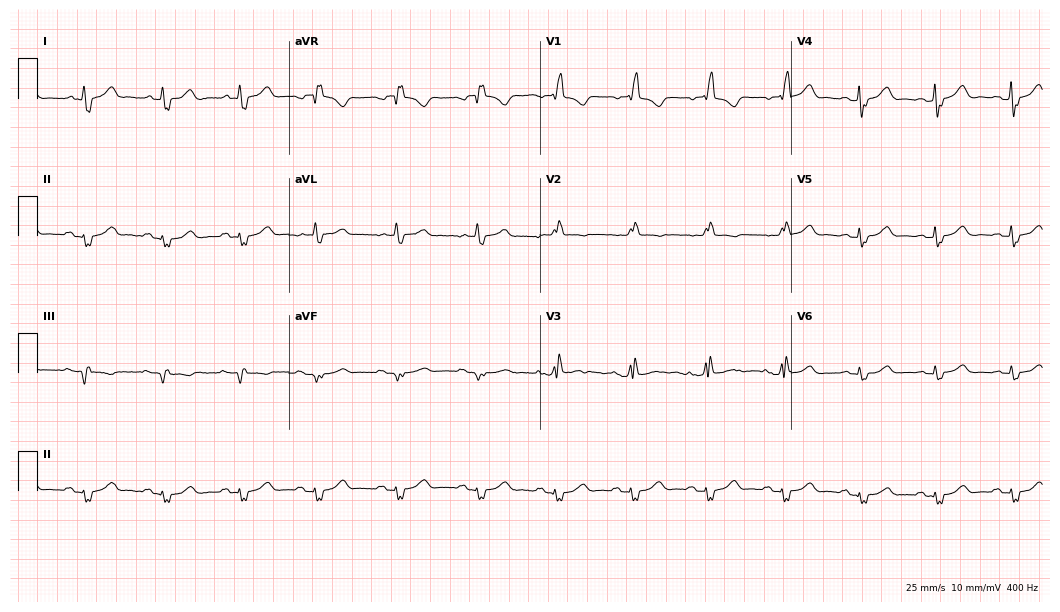
ECG — a female patient, 78 years old. Findings include right bundle branch block.